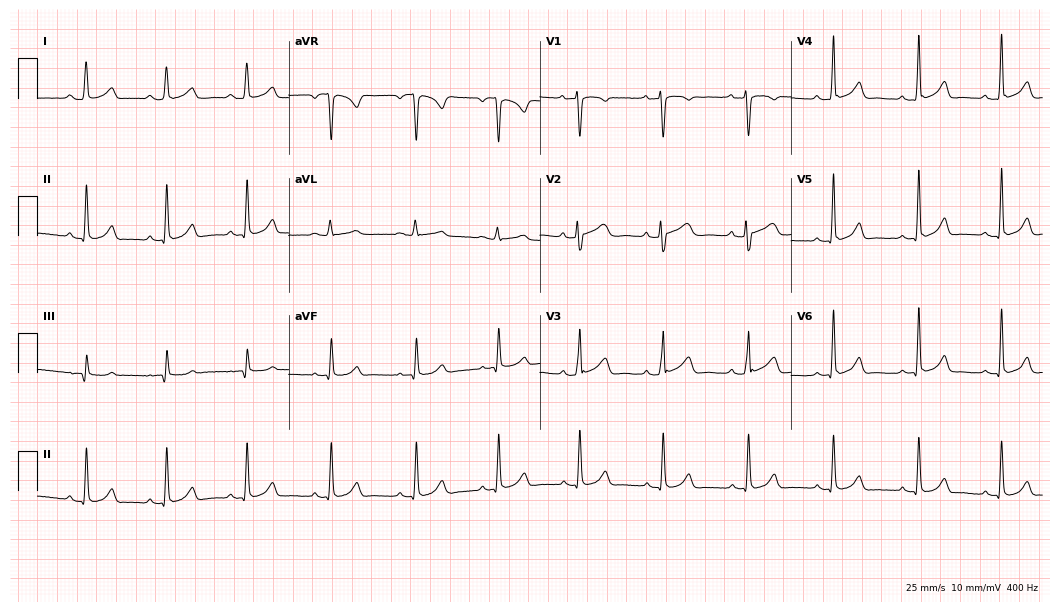
ECG — a female, 29 years old. Labelled as a normal ECG.